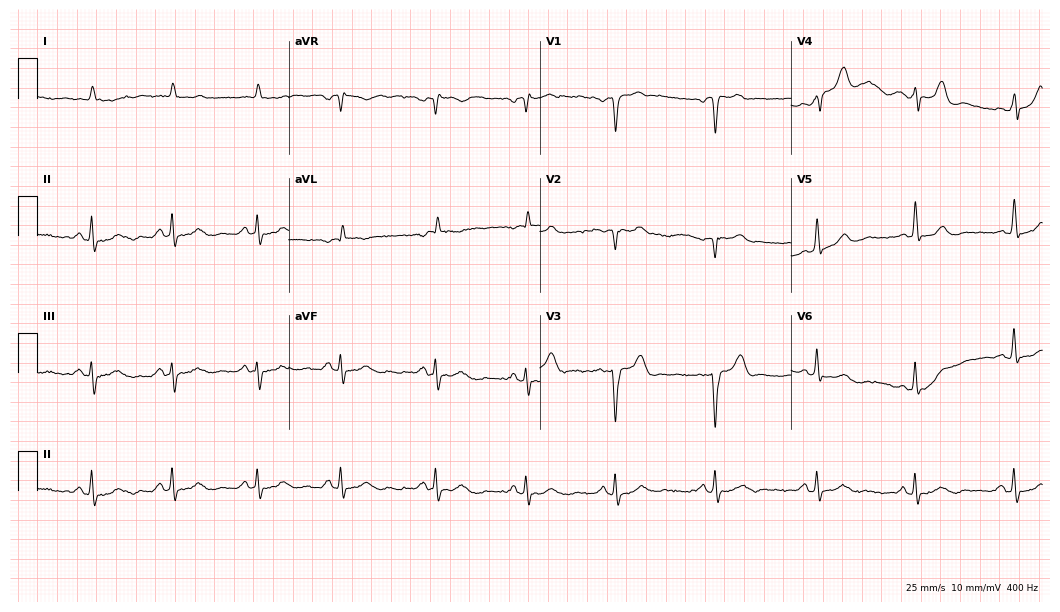
12-lead ECG from a 78-year-old man. Screened for six findings — first-degree AV block, right bundle branch block, left bundle branch block, sinus bradycardia, atrial fibrillation, sinus tachycardia — none is recorded. Findings outside these six are not listed.